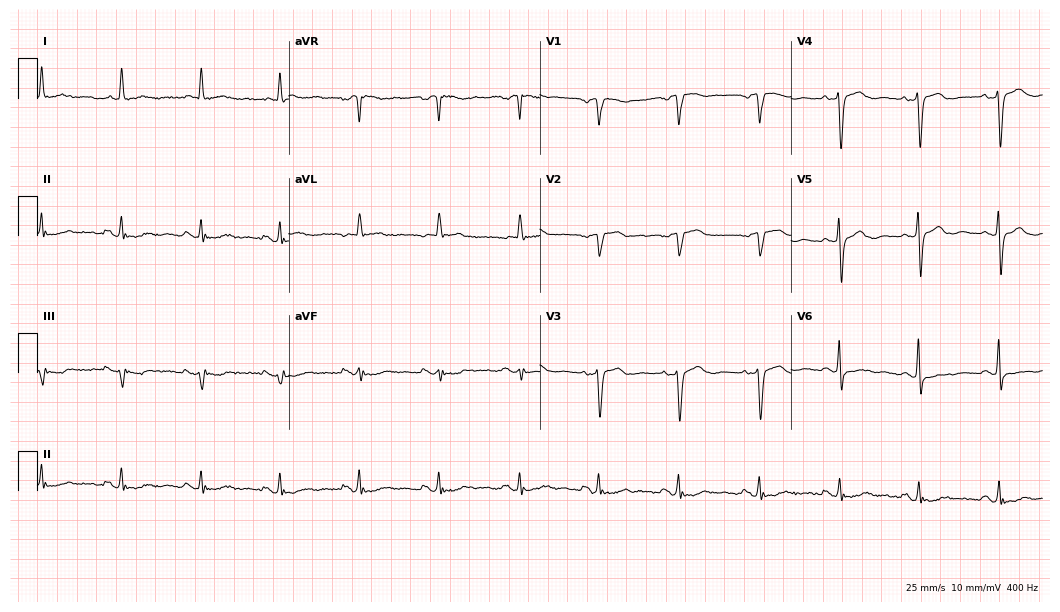
Electrocardiogram, a 76-year-old woman. Overall reading on record: normal ECG.